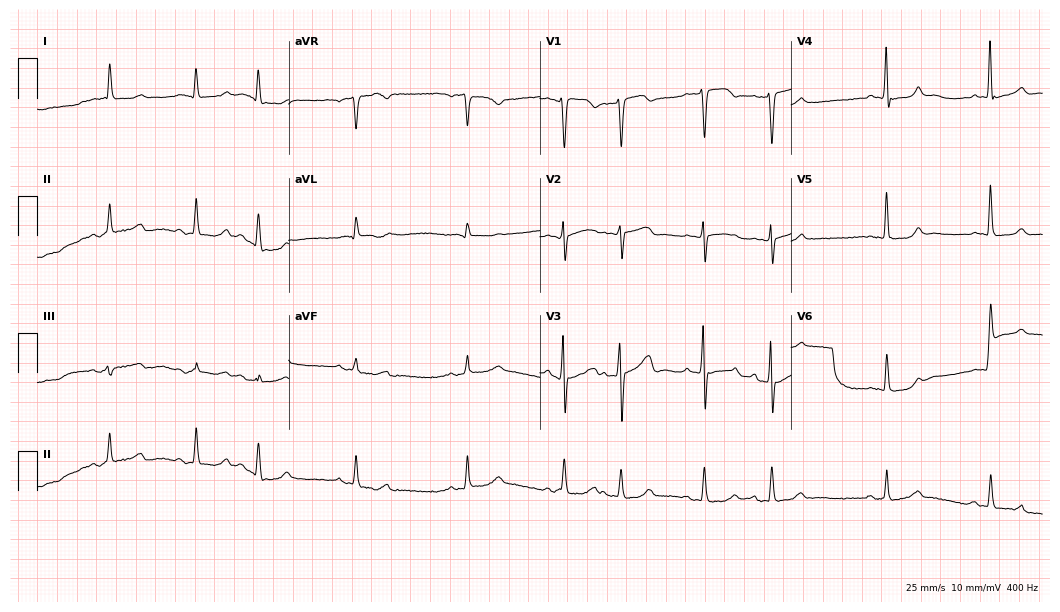
12-lead ECG (10.2-second recording at 400 Hz) from an 82-year-old male patient. Screened for six findings — first-degree AV block, right bundle branch block, left bundle branch block, sinus bradycardia, atrial fibrillation, sinus tachycardia — none is recorded. Only these six findings were labelled.